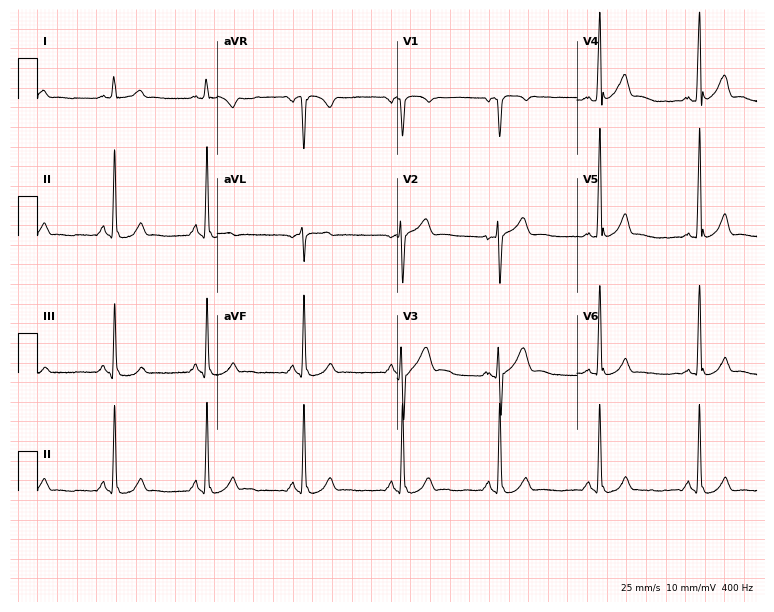
Resting 12-lead electrocardiogram (7.3-second recording at 400 Hz). Patient: a 20-year-old male. Read as a normal ECG.